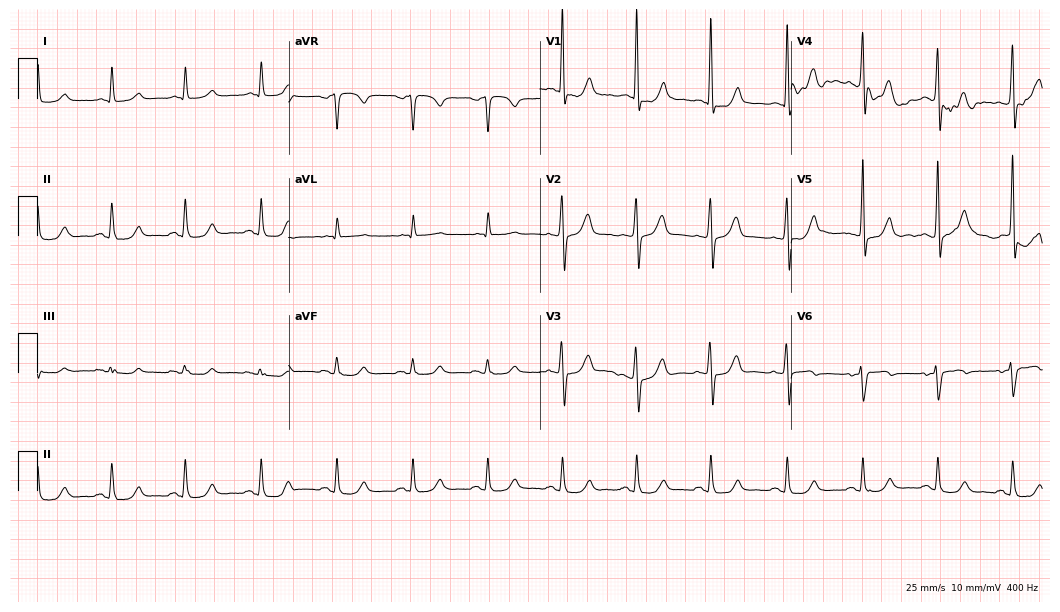
ECG — a male patient, 78 years old. Labelled as a normal ECG.